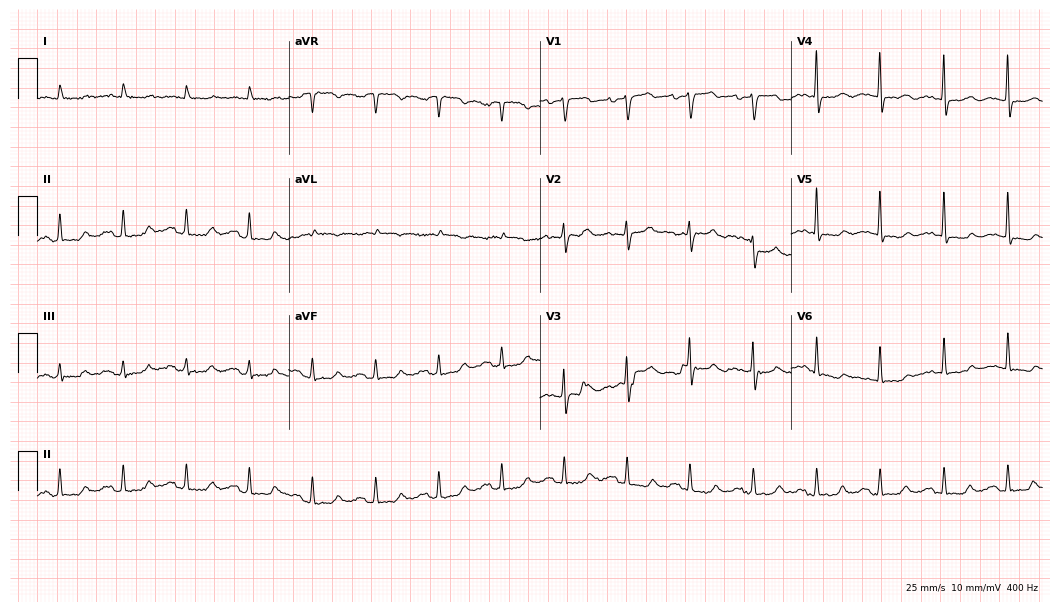
12-lead ECG from a female patient, 85 years old. Screened for six findings — first-degree AV block, right bundle branch block, left bundle branch block, sinus bradycardia, atrial fibrillation, sinus tachycardia — none is recorded. Only these six findings were labelled.